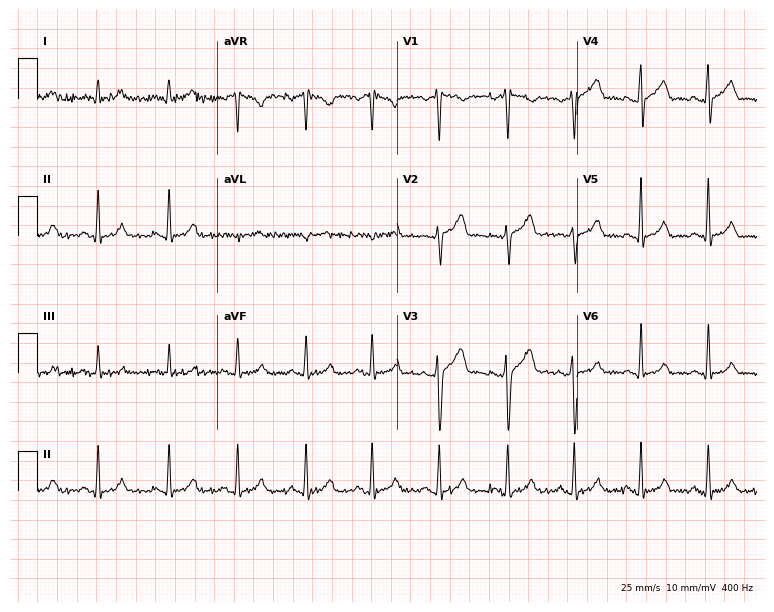
12-lead ECG from a 38-year-old woman (7.3-second recording at 400 Hz). Recorded interpretation: within normal limits.